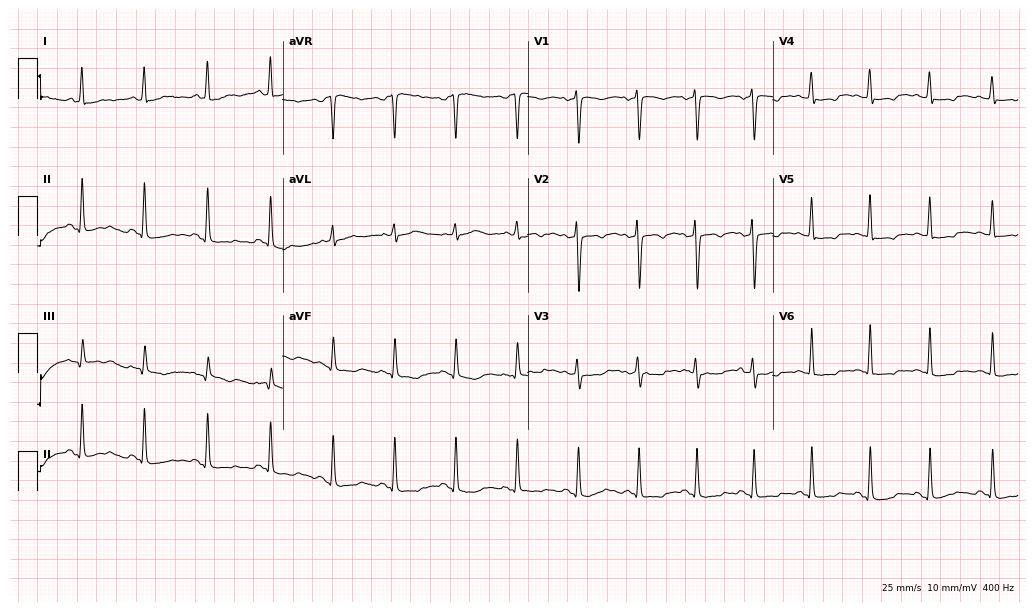
Resting 12-lead electrocardiogram. Patient: a 43-year-old woman. None of these six findings is recorded: first-degree AV block, right bundle branch block, left bundle branch block, sinus bradycardia, atrial fibrillation, sinus tachycardia. Findings outside these six are not listed.